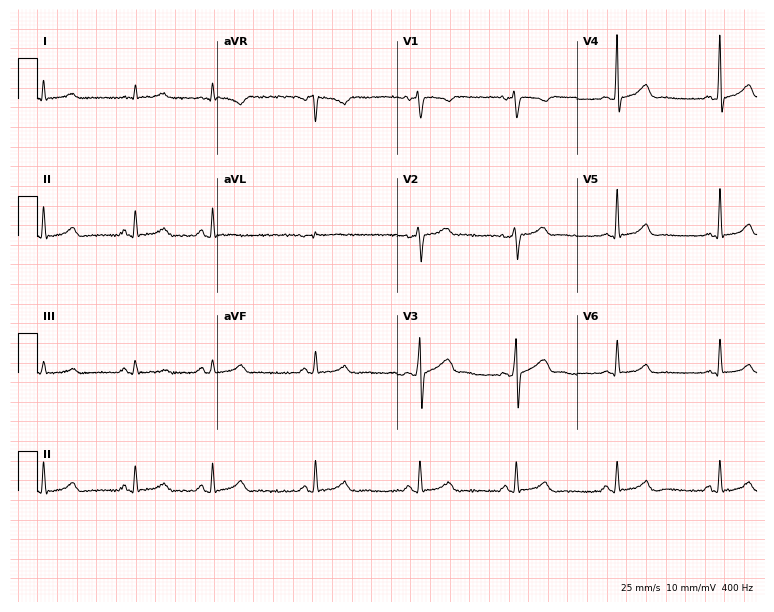
ECG (7.3-second recording at 400 Hz) — a 33-year-old man. Labelled as a normal ECG.